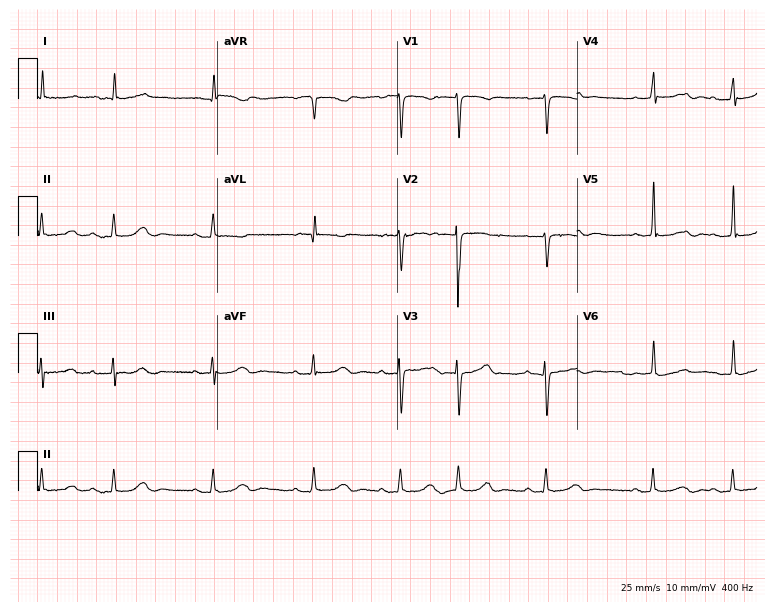
ECG (7.3-second recording at 400 Hz) — an 82-year-old female. Screened for six findings — first-degree AV block, right bundle branch block, left bundle branch block, sinus bradycardia, atrial fibrillation, sinus tachycardia — none is recorded.